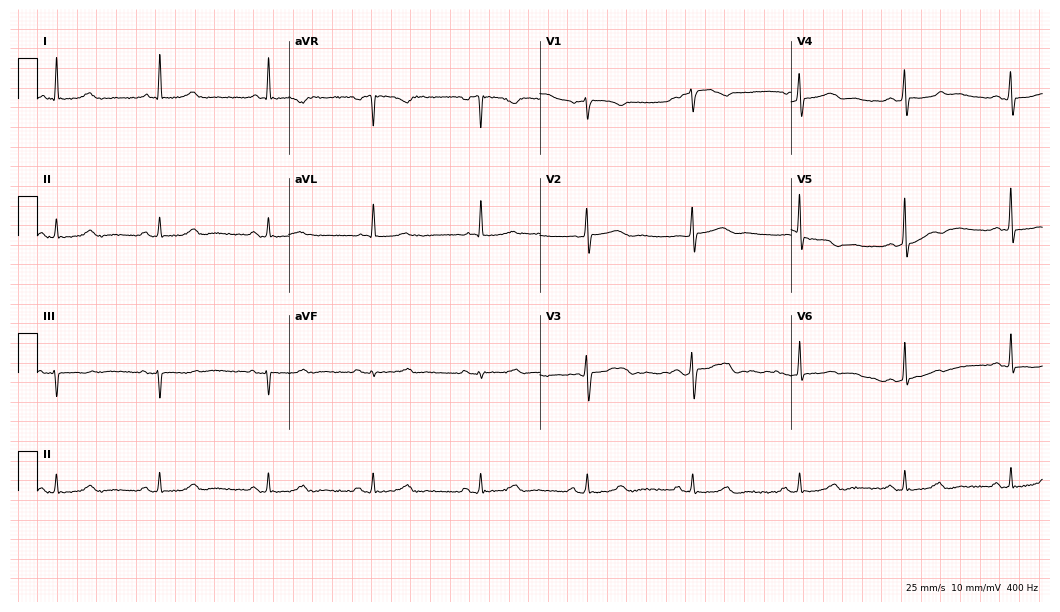
ECG — a female patient, 56 years old. Labelled as a normal ECG.